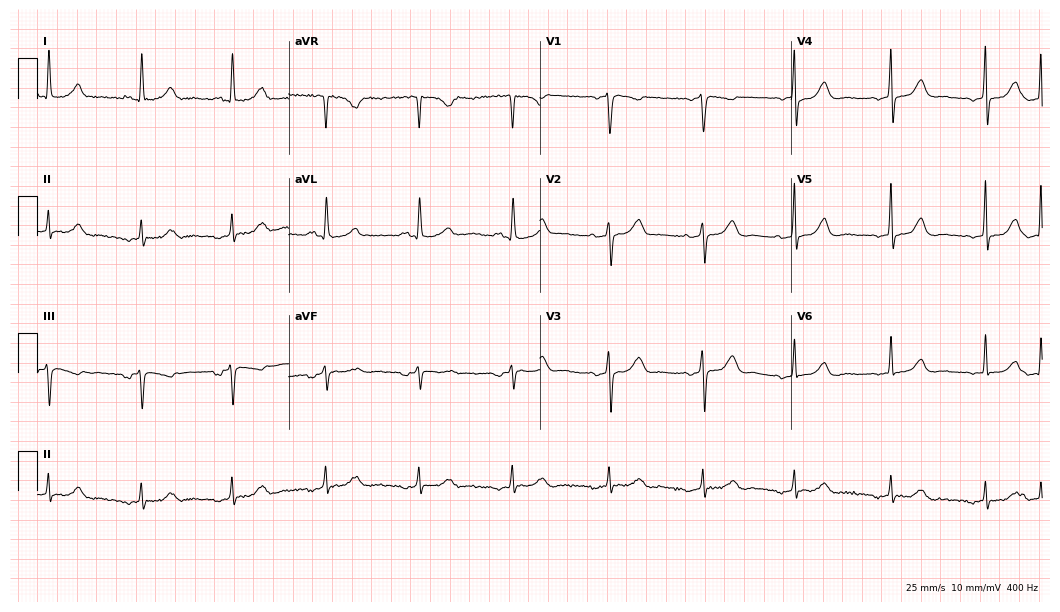
ECG (10.2-second recording at 400 Hz) — a 65-year-old female. Labelled as a normal ECG.